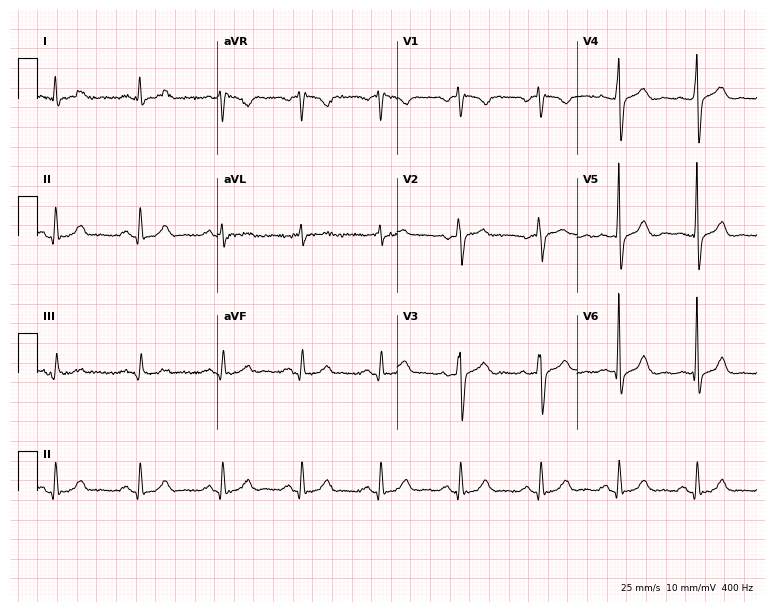
Electrocardiogram (7.3-second recording at 400 Hz), a 32-year-old male patient. Of the six screened findings (first-degree AV block, right bundle branch block, left bundle branch block, sinus bradycardia, atrial fibrillation, sinus tachycardia), none is recorded. Only these six findings were labelled.